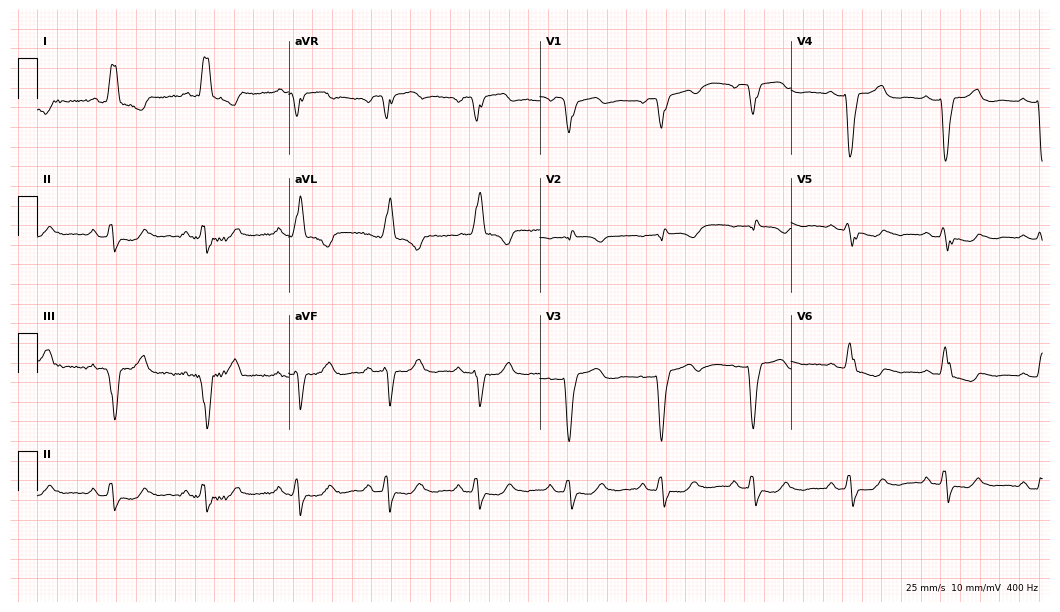
Resting 12-lead electrocardiogram (10.2-second recording at 400 Hz). Patient: a 68-year-old female. None of these six findings is recorded: first-degree AV block, right bundle branch block, left bundle branch block, sinus bradycardia, atrial fibrillation, sinus tachycardia.